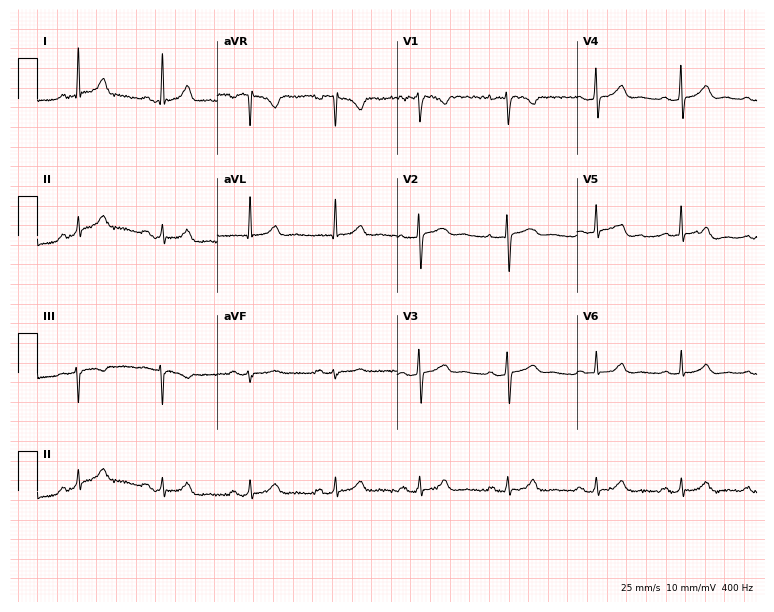
Resting 12-lead electrocardiogram. Patient: a female, 38 years old. Read as a normal ECG.